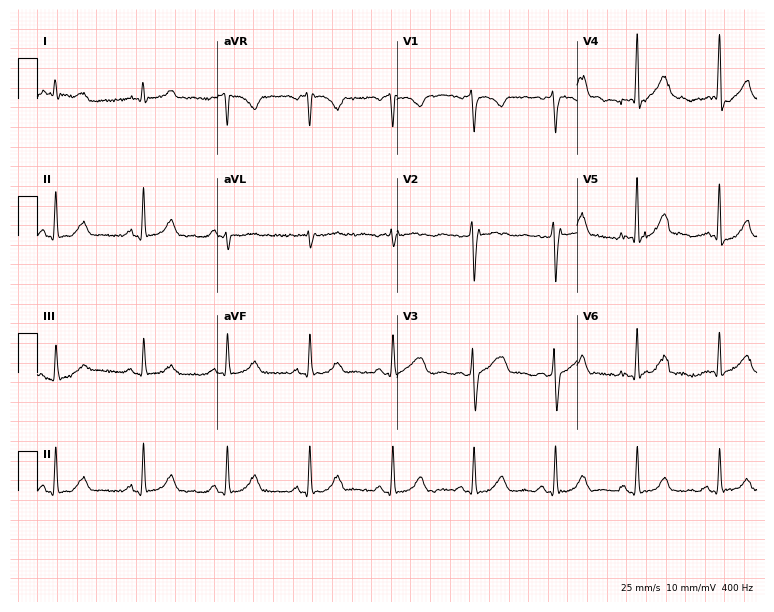
Resting 12-lead electrocardiogram (7.3-second recording at 400 Hz). Patient: a 36-year-old man. Read as a normal ECG.